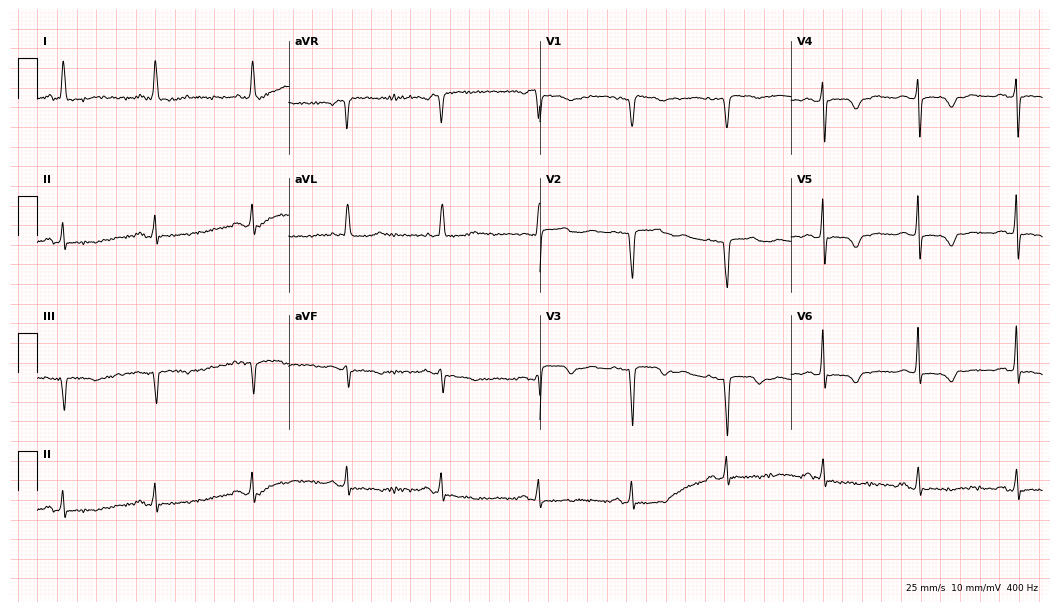
Resting 12-lead electrocardiogram (10.2-second recording at 400 Hz). Patient: a 74-year-old woman. Read as a normal ECG.